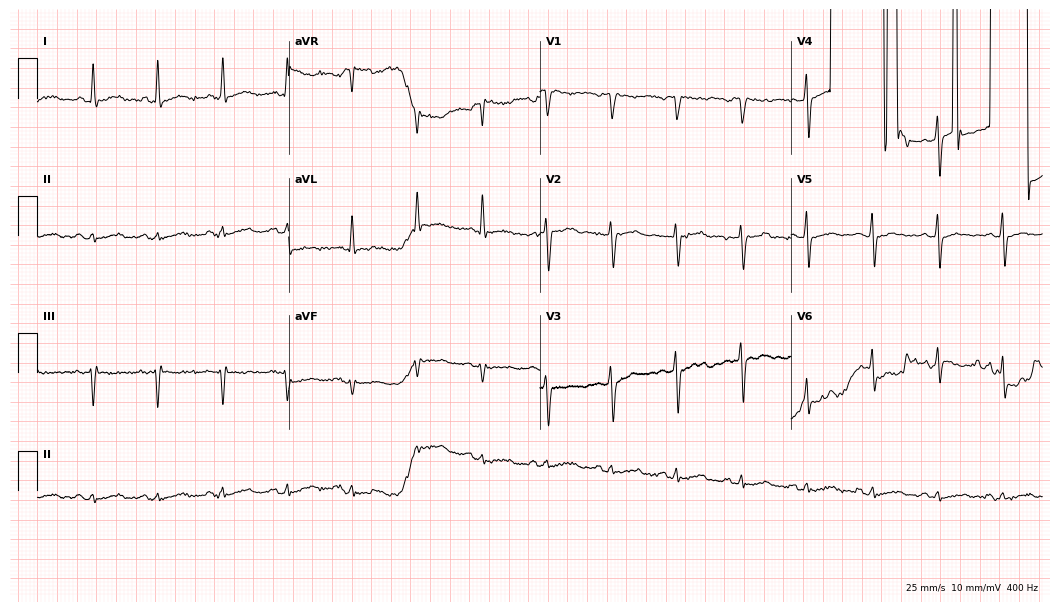
Standard 12-lead ECG recorded from a 50-year-old female (10.2-second recording at 400 Hz). None of these six findings is recorded: first-degree AV block, right bundle branch block, left bundle branch block, sinus bradycardia, atrial fibrillation, sinus tachycardia. Other findings, if any, are not listed.